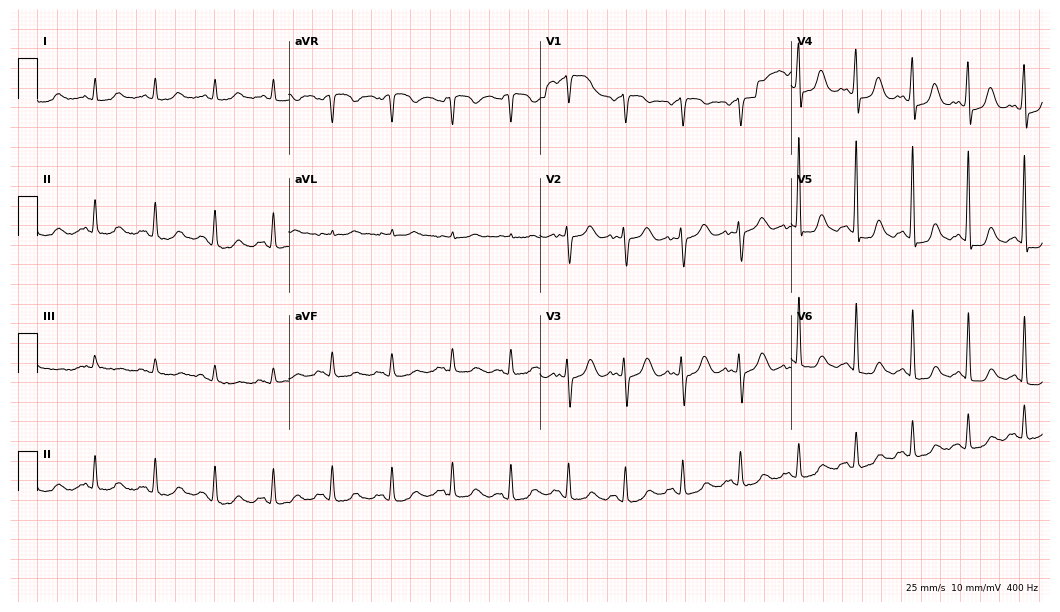
12-lead ECG from a female, 69 years old (10.2-second recording at 400 Hz). Shows sinus tachycardia (a sinus rate of 100 beats per minute or more).